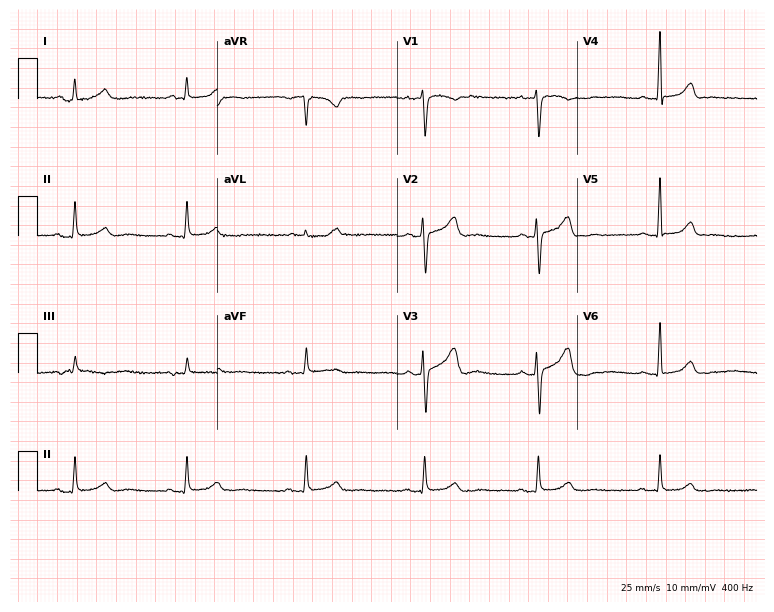
Electrocardiogram, a 47-year-old female. Overall reading on record: normal ECG.